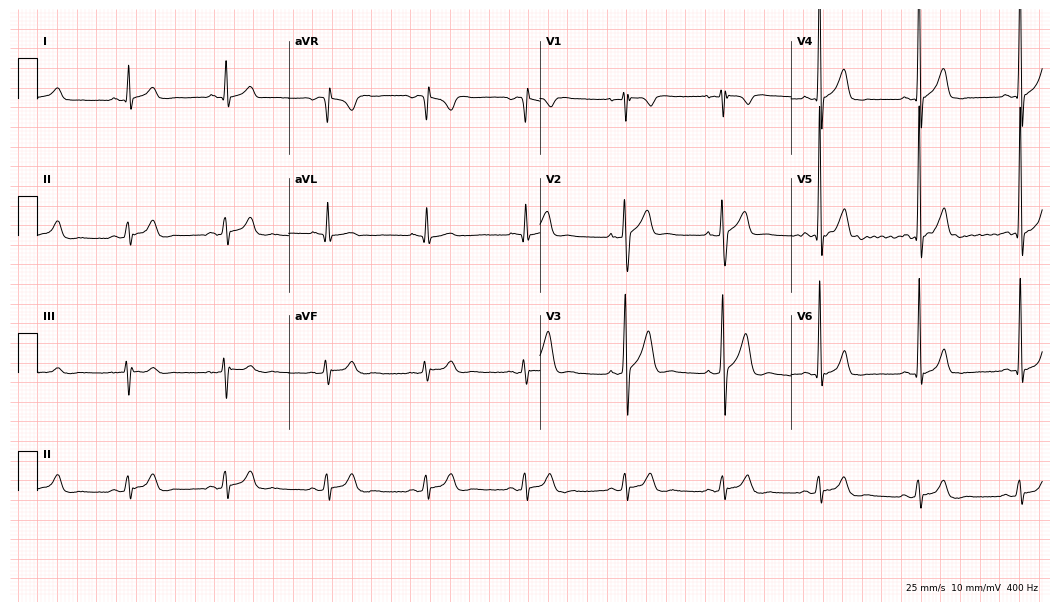
12-lead ECG (10.2-second recording at 400 Hz) from a male, 41 years old. Labelled as a normal ECG.